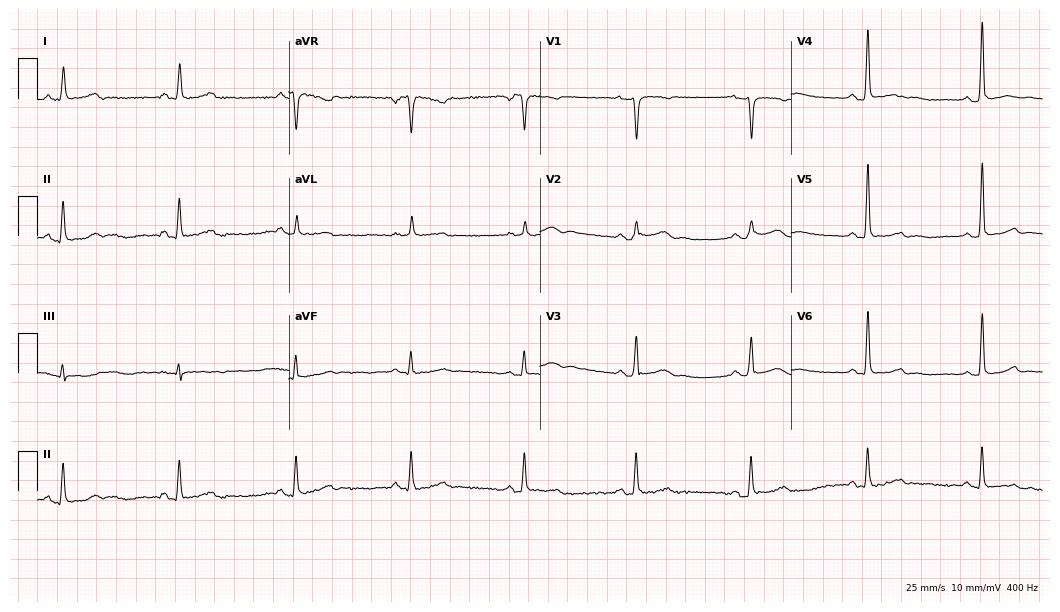
Standard 12-lead ECG recorded from a 41-year-old woman (10.2-second recording at 400 Hz). Read as a normal ECG.